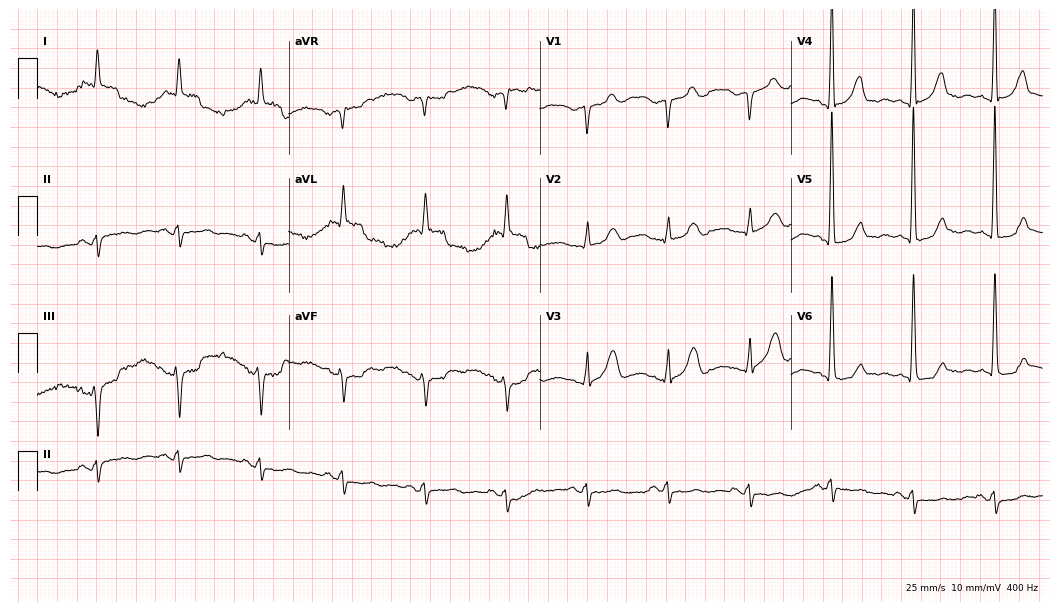
ECG (10.2-second recording at 400 Hz) — a man, 84 years old. Screened for six findings — first-degree AV block, right bundle branch block, left bundle branch block, sinus bradycardia, atrial fibrillation, sinus tachycardia — none is recorded.